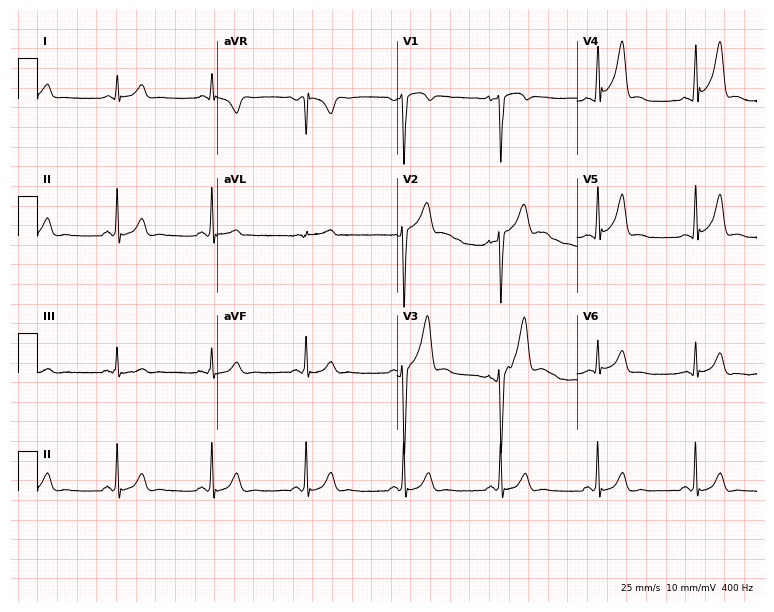
ECG (7.3-second recording at 400 Hz) — a male, 34 years old. Labelled as a normal ECG.